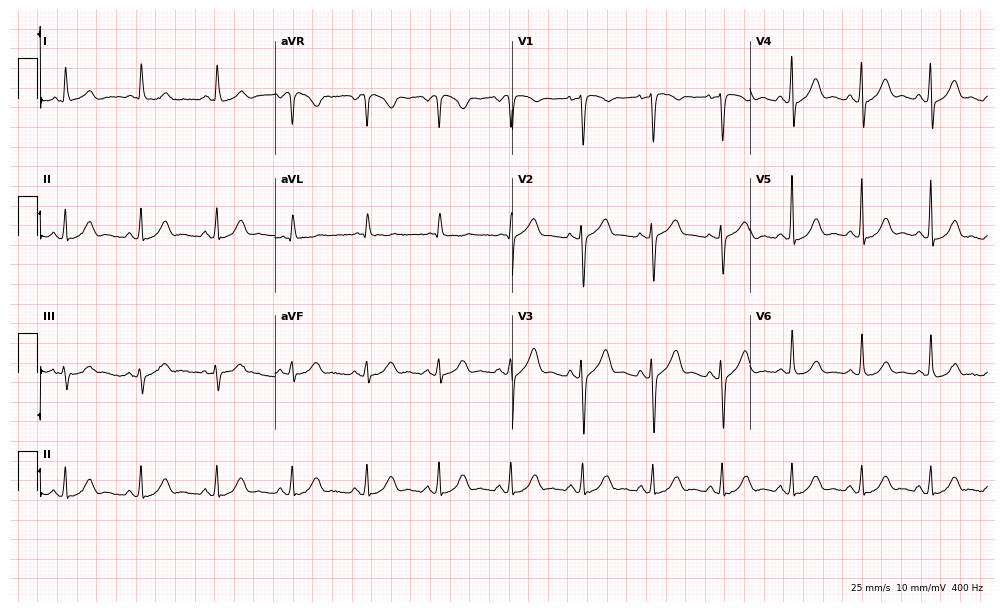
12-lead ECG from a male patient aged 90 or older. Labelled as a normal ECG.